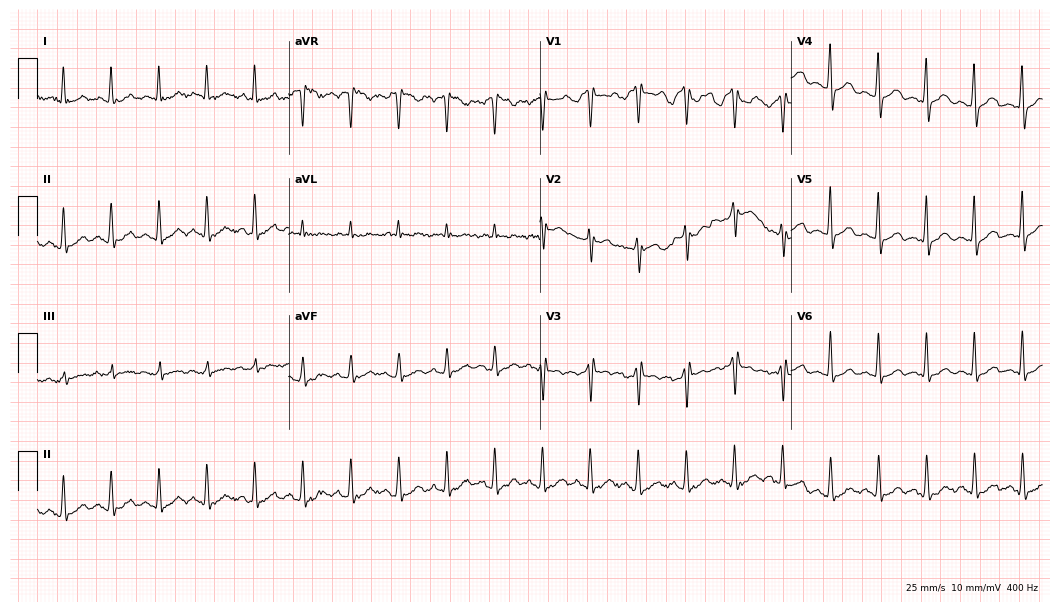
12-lead ECG from a man, 33 years old. Screened for six findings — first-degree AV block, right bundle branch block (RBBB), left bundle branch block (LBBB), sinus bradycardia, atrial fibrillation (AF), sinus tachycardia — none is recorded. Other findings, if any, are not listed.